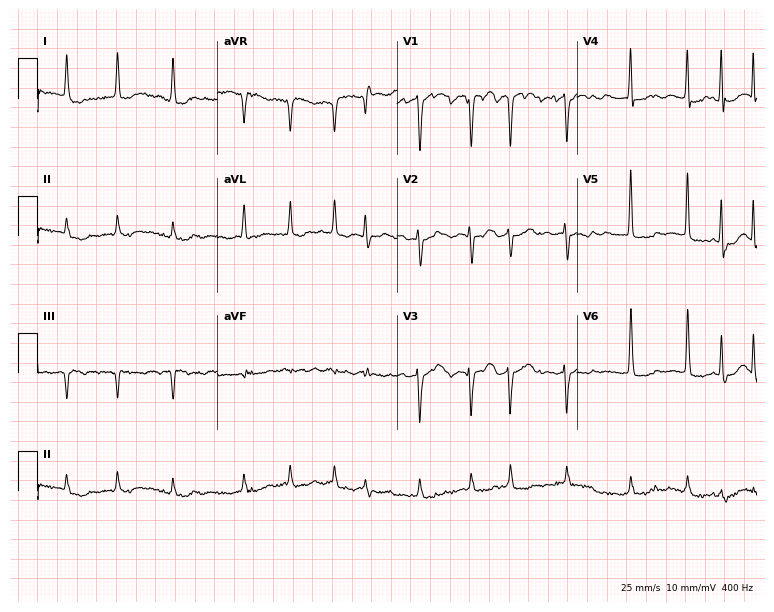
Standard 12-lead ECG recorded from a woman, 81 years old. The tracing shows atrial fibrillation.